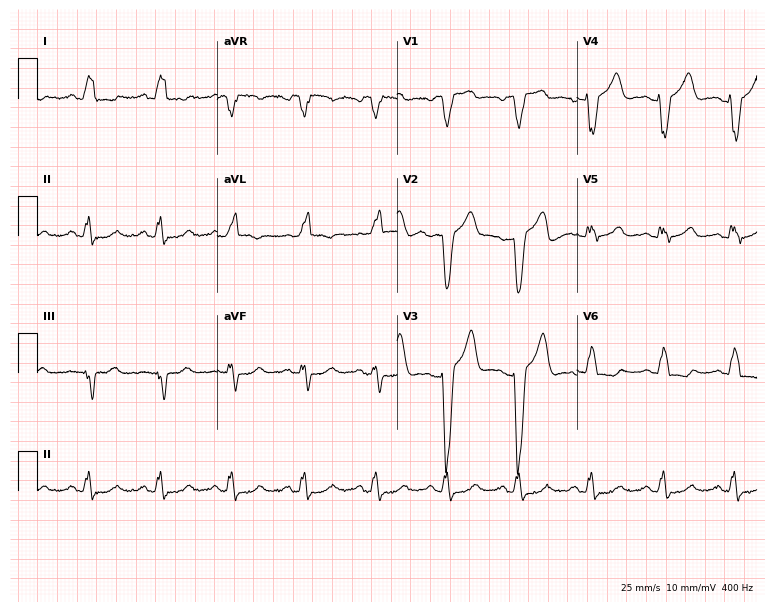
Electrocardiogram, a woman, 57 years old. Interpretation includes left bundle branch block.